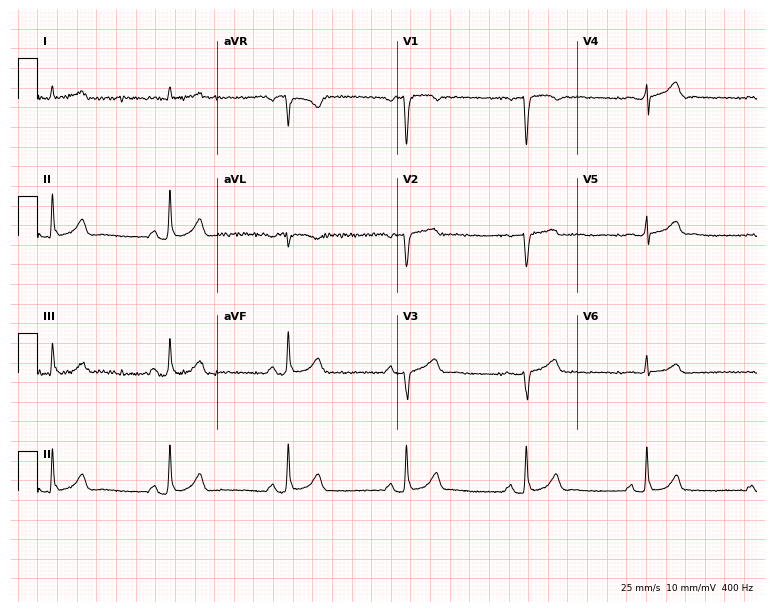
Resting 12-lead electrocardiogram (7.3-second recording at 400 Hz). Patient: a 62-year-old male. None of these six findings is recorded: first-degree AV block, right bundle branch block, left bundle branch block, sinus bradycardia, atrial fibrillation, sinus tachycardia.